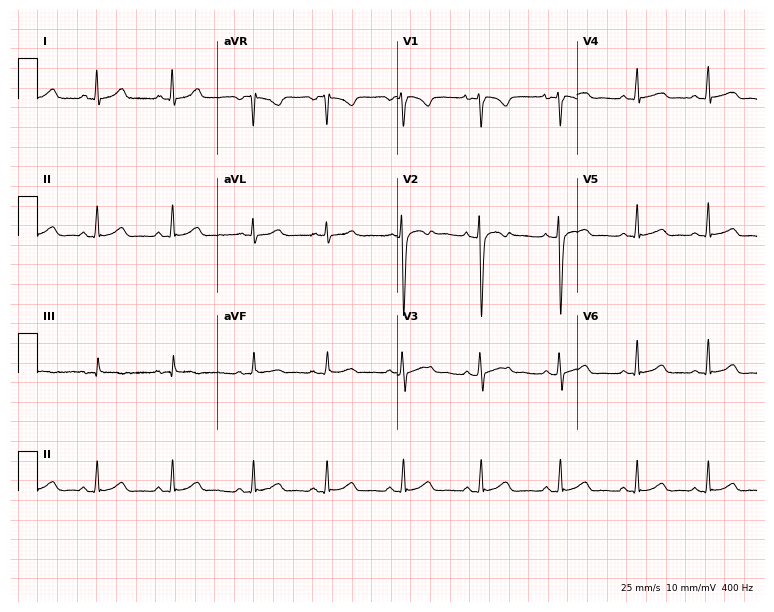
12-lead ECG from a woman, 22 years old. Recorded interpretation: within normal limits.